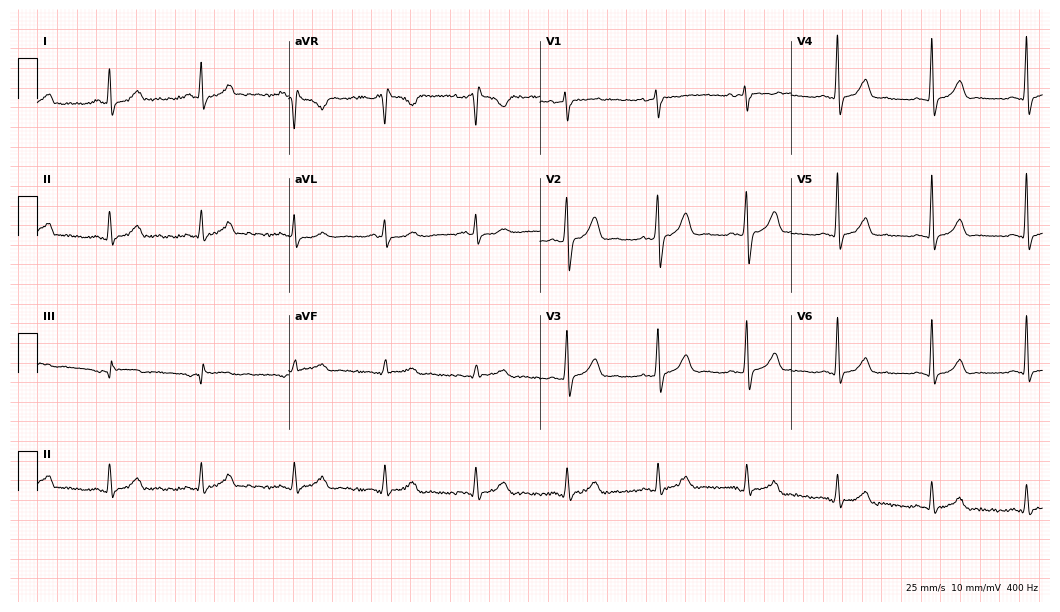
Electrocardiogram, a 48-year-old male patient. Of the six screened findings (first-degree AV block, right bundle branch block, left bundle branch block, sinus bradycardia, atrial fibrillation, sinus tachycardia), none is recorded.